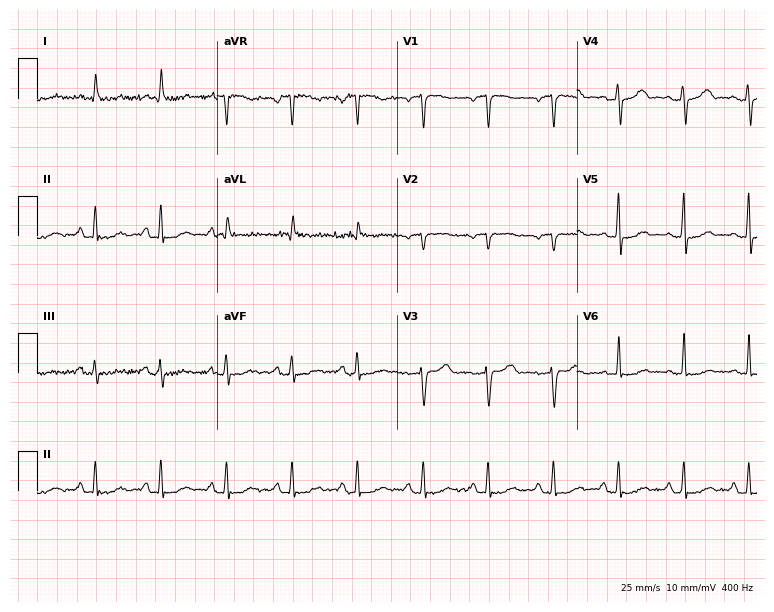
Electrocardiogram, a female, 63 years old. Of the six screened findings (first-degree AV block, right bundle branch block, left bundle branch block, sinus bradycardia, atrial fibrillation, sinus tachycardia), none is recorded. Findings outside these six are not listed.